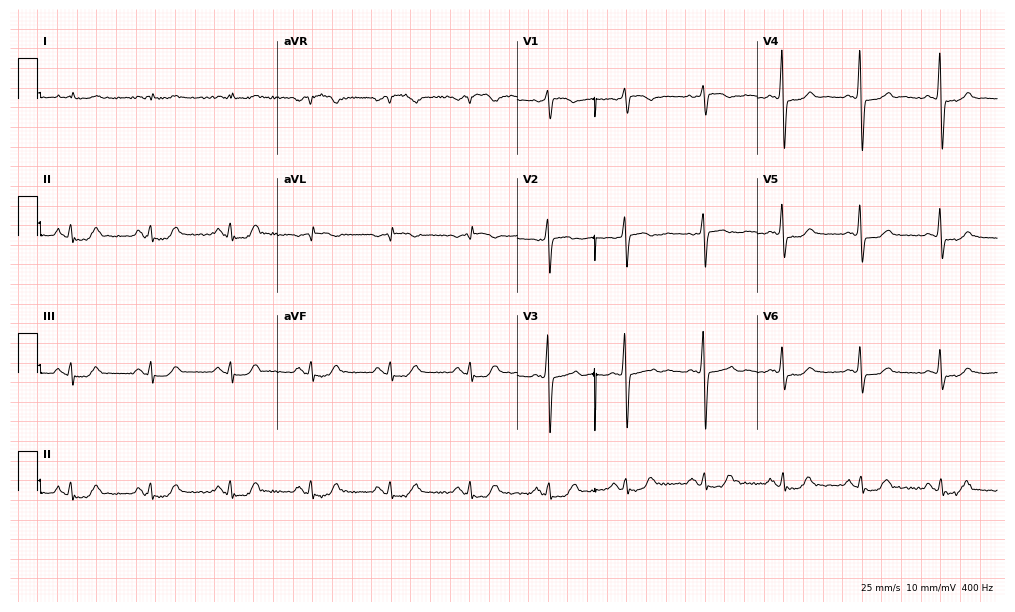
ECG (9.8-second recording at 400 Hz) — a 75-year-old male patient. Screened for six findings — first-degree AV block, right bundle branch block, left bundle branch block, sinus bradycardia, atrial fibrillation, sinus tachycardia — none is recorded.